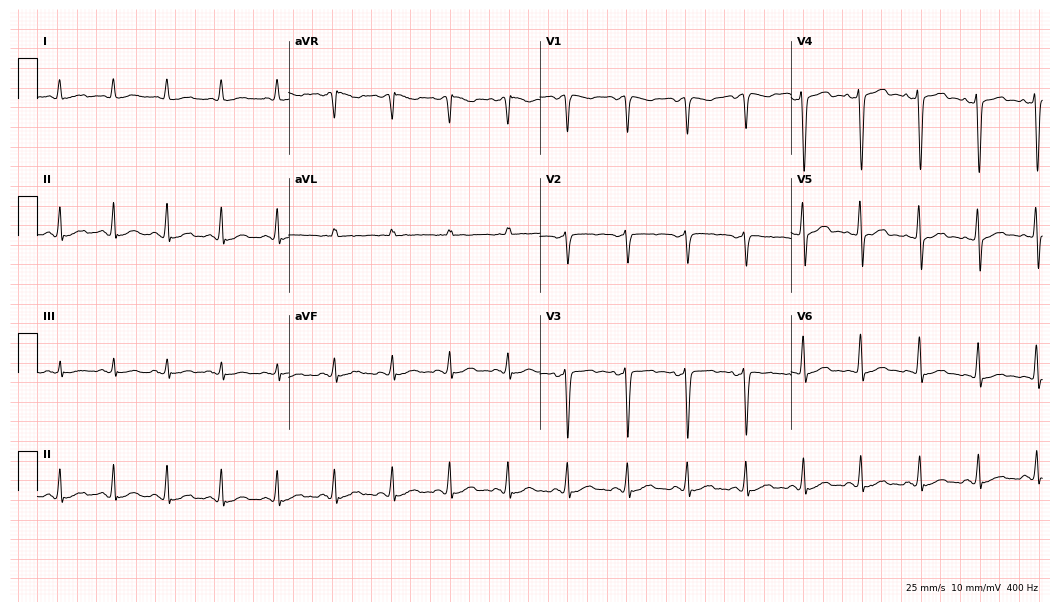
ECG (10.2-second recording at 400 Hz) — a woman, 40 years old. Findings include sinus tachycardia (a sinus rate of 100 beats per minute or more).